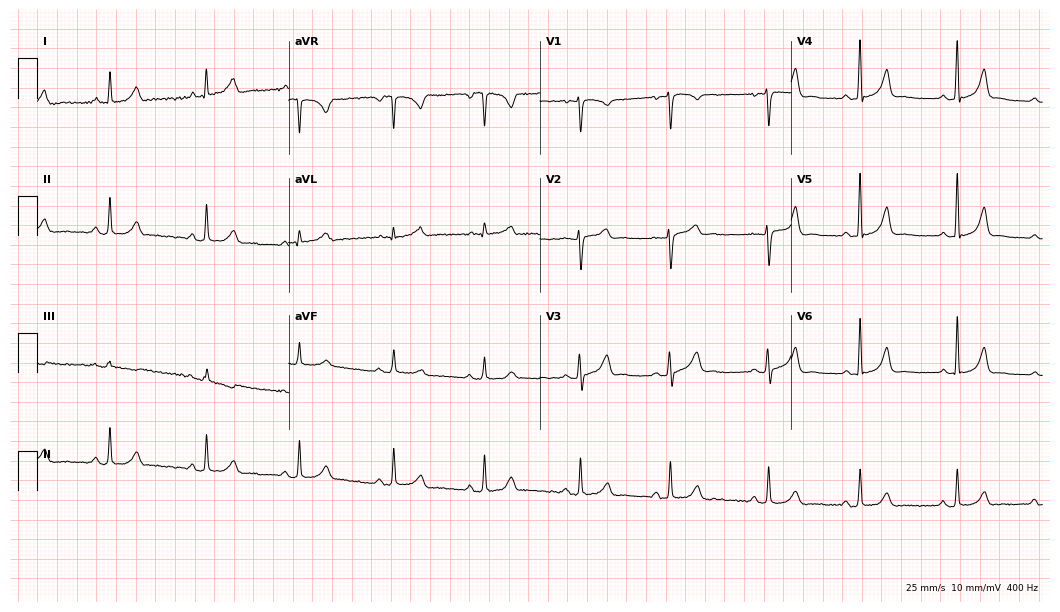
ECG — a 31-year-old female patient. Labelled as a normal ECG.